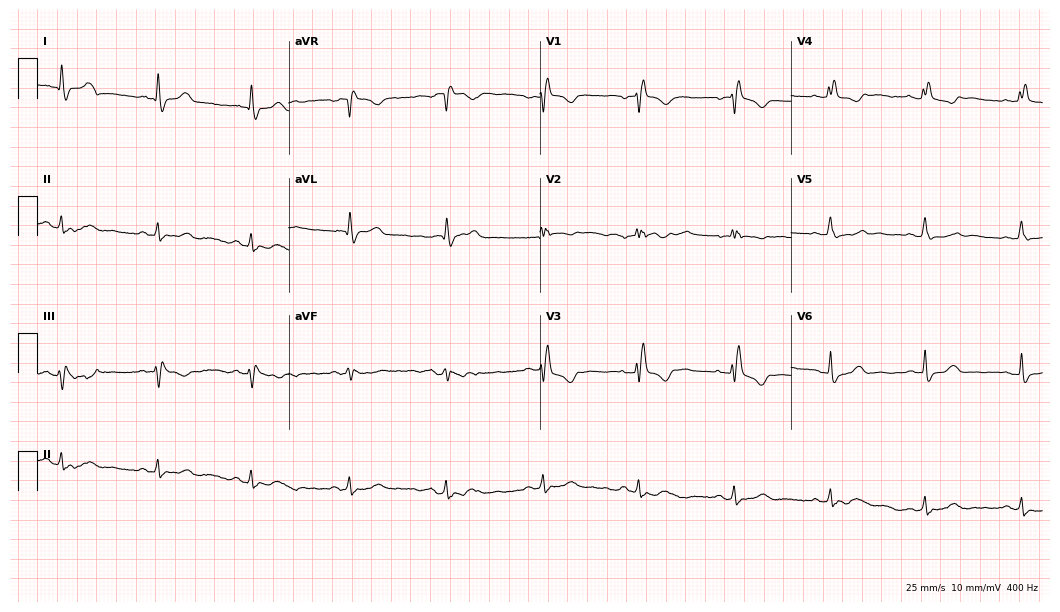
12-lead ECG from a 49-year-old female. No first-degree AV block, right bundle branch block, left bundle branch block, sinus bradycardia, atrial fibrillation or sinus tachycardia recorded for this tracing. Only these six findings were labelled.